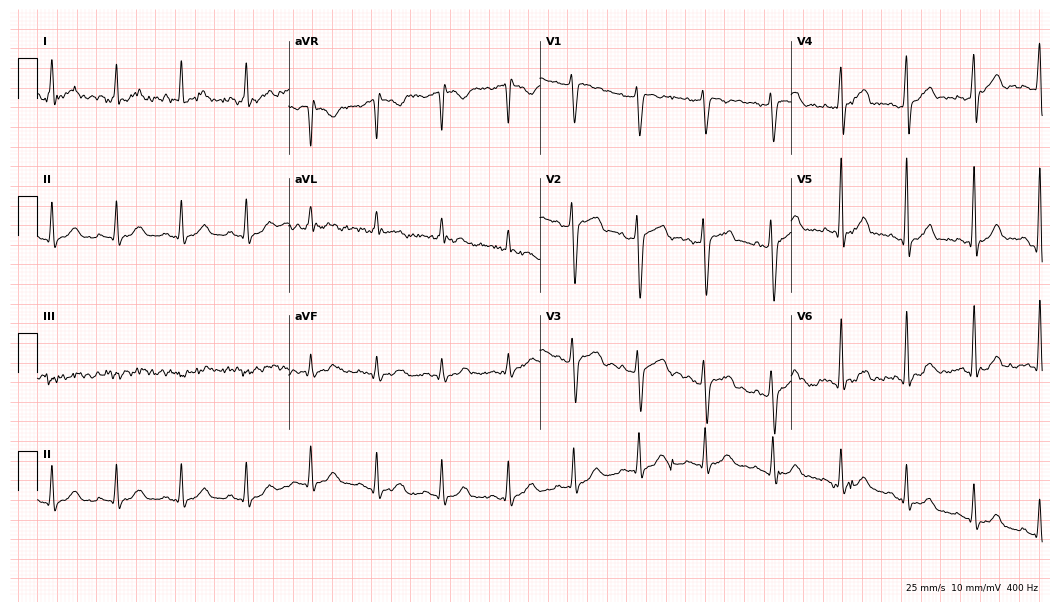
12-lead ECG from a 26-year-old male patient. No first-degree AV block, right bundle branch block (RBBB), left bundle branch block (LBBB), sinus bradycardia, atrial fibrillation (AF) or sinus tachycardia recorded for this tracing. Other findings, if any, are not listed.